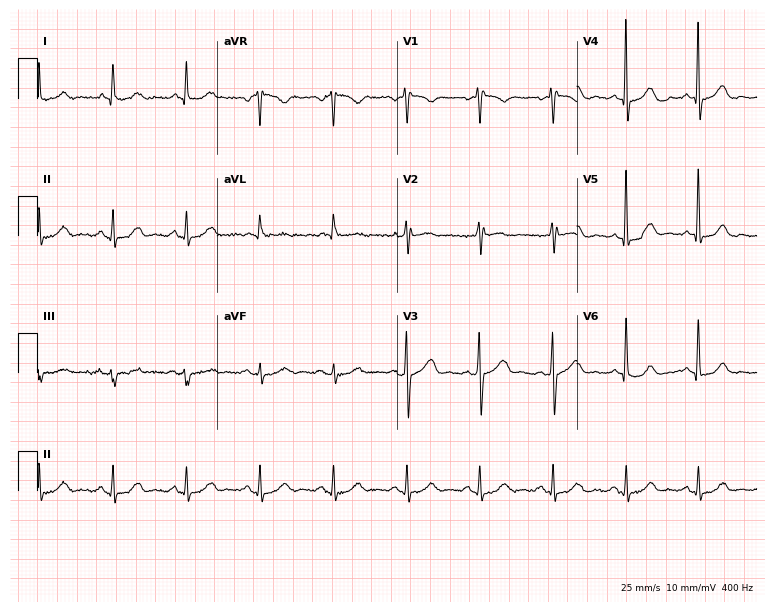
12-lead ECG from a male patient, 75 years old. Screened for six findings — first-degree AV block, right bundle branch block, left bundle branch block, sinus bradycardia, atrial fibrillation, sinus tachycardia — none is recorded. Only these six findings were labelled.